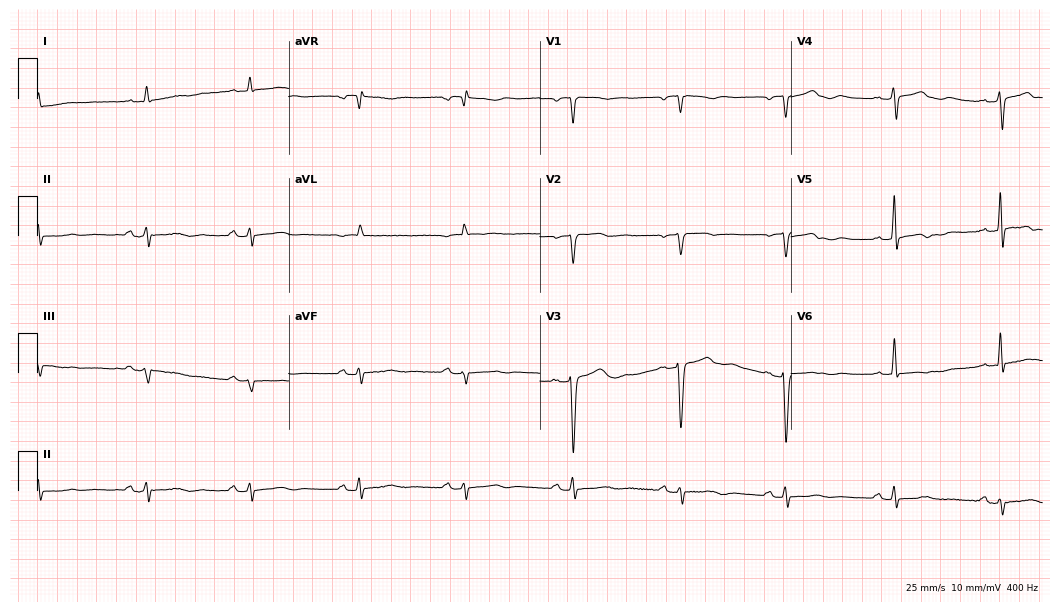
12-lead ECG from a 67-year-old woman. Labelled as a normal ECG.